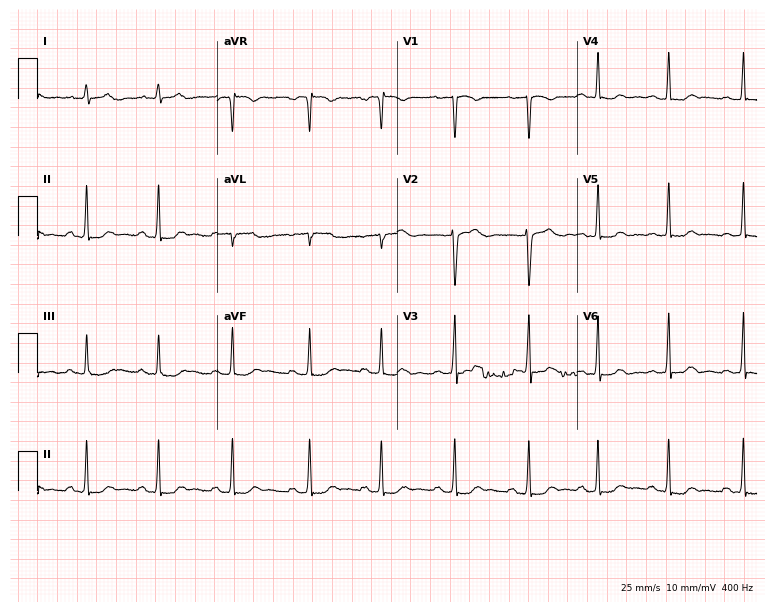
Standard 12-lead ECG recorded from a 22-year-old female (7.3-second recording at 400 Hz). Read as a normal ECG.